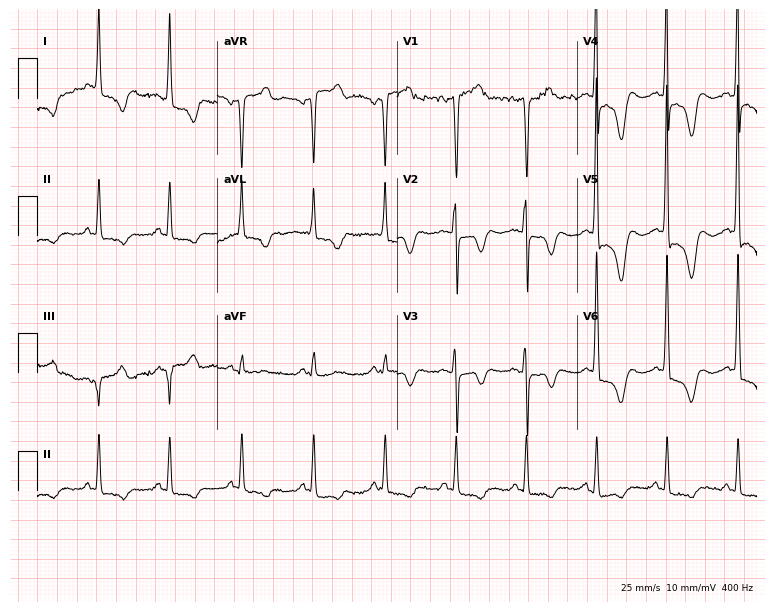
ECG — a woman, 68 years old. Screened for six findings — first-degree AV block, right bundle branch block, left bundle branch block, sinus bradycardia, atrial fibrillation, sinus tachycardia — none is recorded.